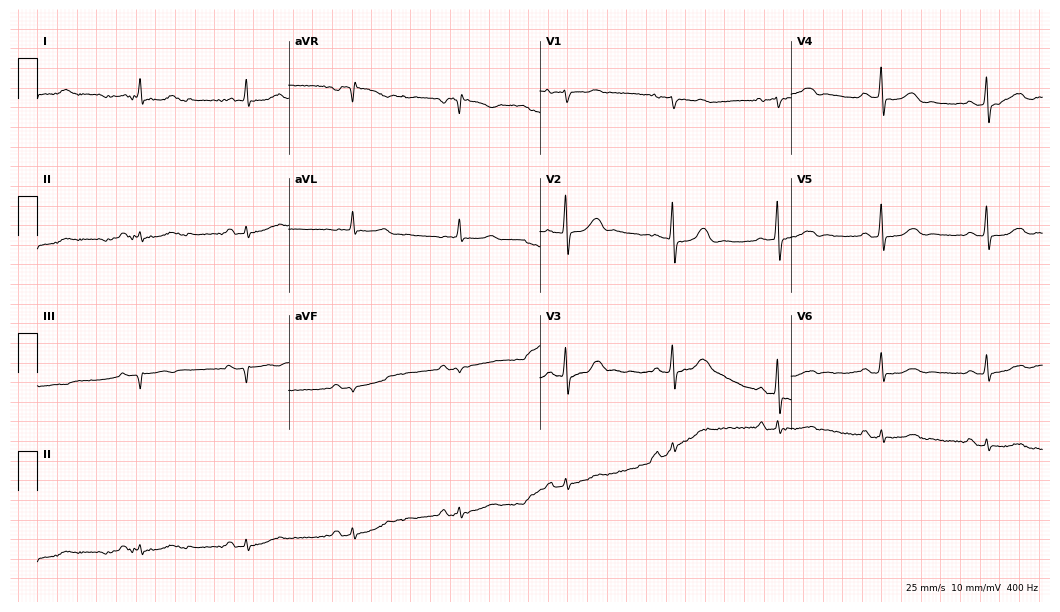
12-lead ECG from a female, 84 years old. Recorded interpretation: within normal limits.